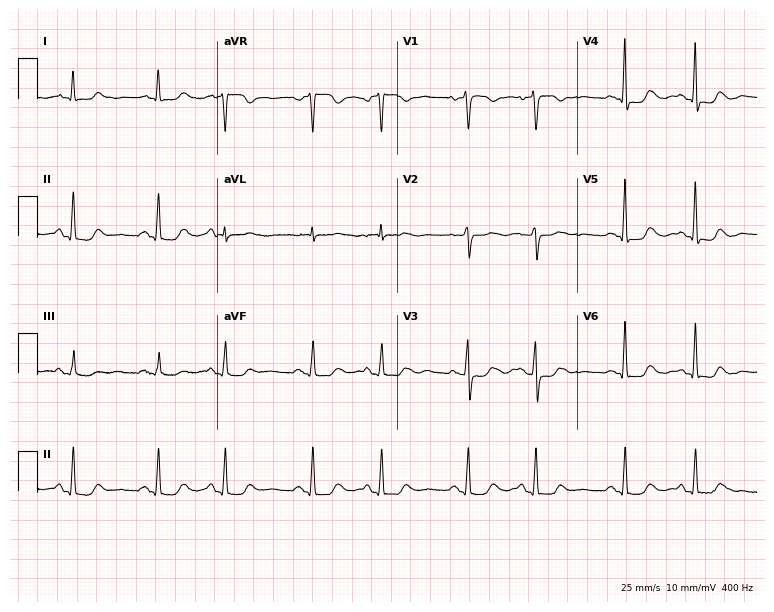
Electrocardiogram, a female patient, 74 years old. Overall reading on record: normal ECG.